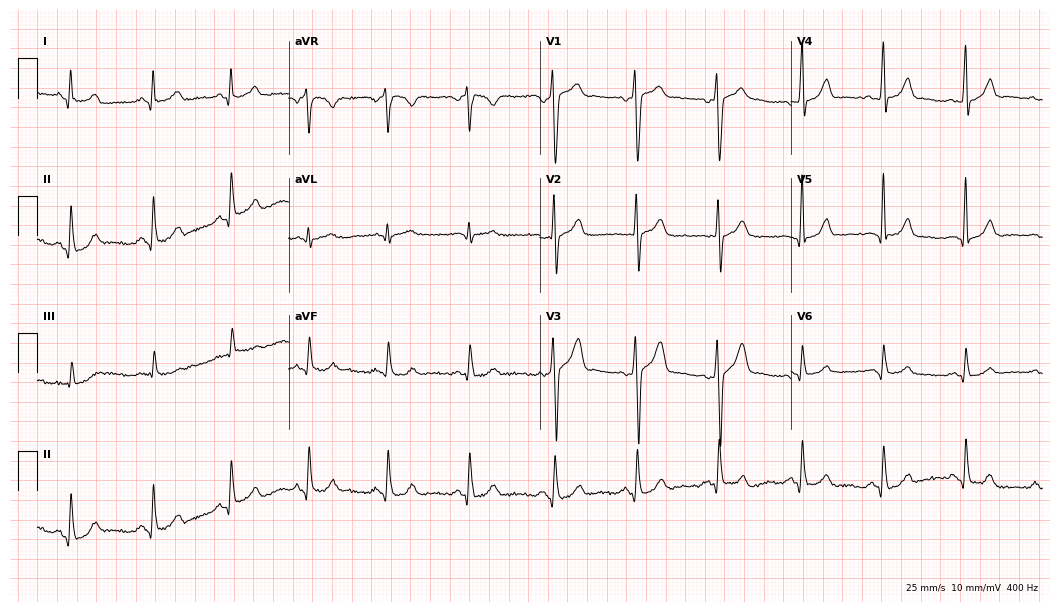
12-lead ECG from a 37-year-old male. Labelled as a normal ECG.